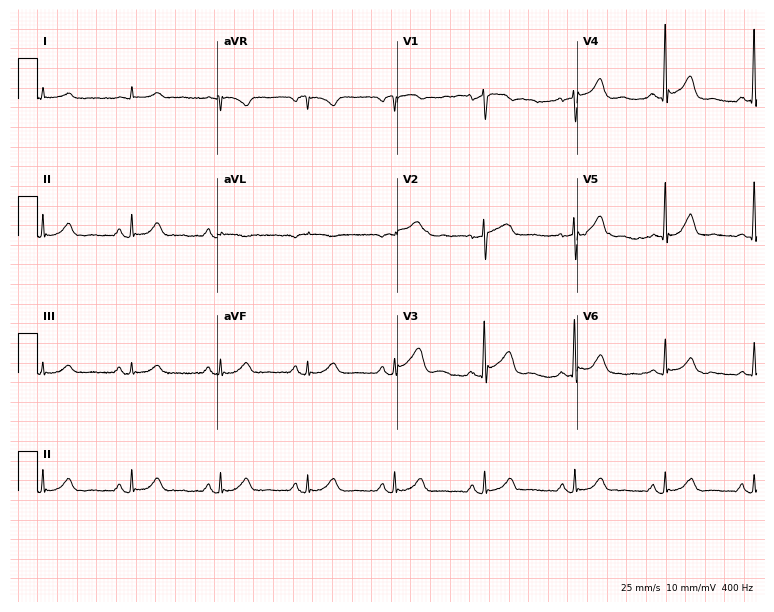
Standard 12-lead ECG recorded from a man, 76 years old (7.3-second recording at 400 Hz). None of these six findings is recorded: first-degree AV block, right bundle branch block (RBBB), left bundle branch block (LBBB), sinus bradycardia, atrial fibrillation (AF), sinus tachycardia. Only these six findings were labelled.